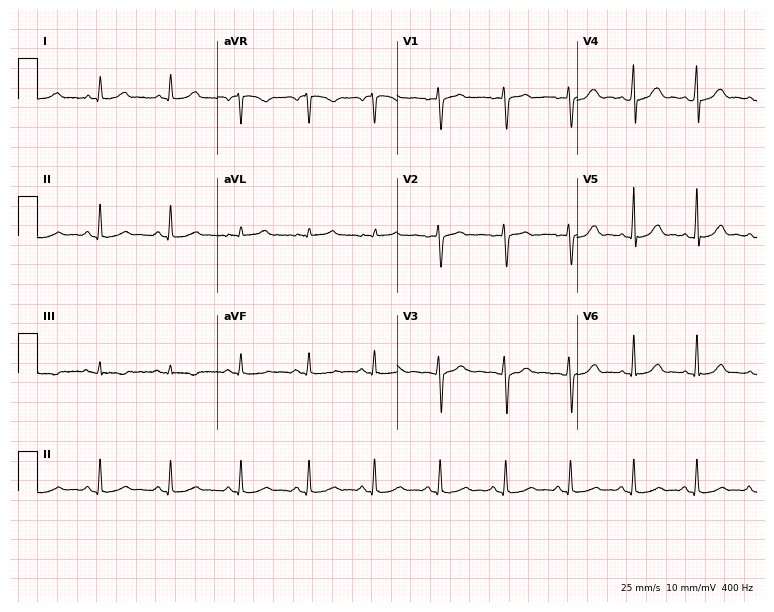
12-lead ECG from a female, 28 years old. Recorded interpretation: within normal limits.